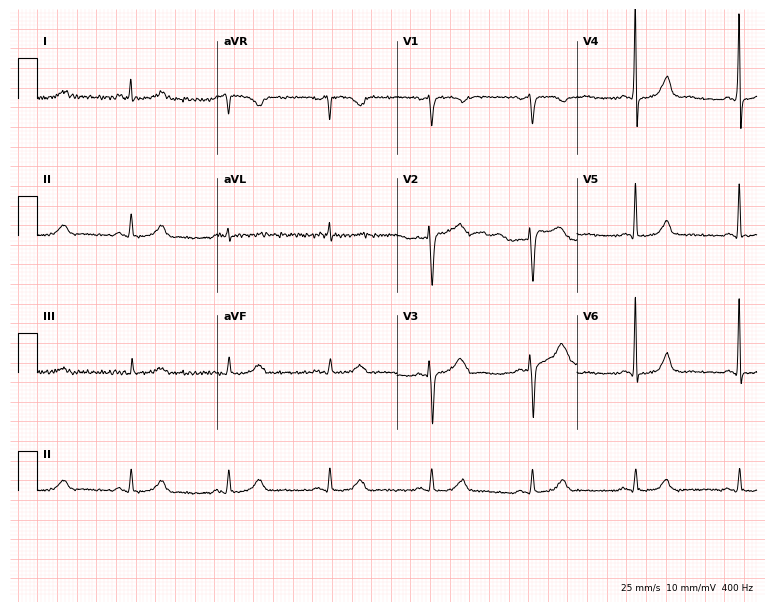
ECG (7.3-second recording at 400 Hz) — a man, 75 years old. Labelled as a normal ECG.